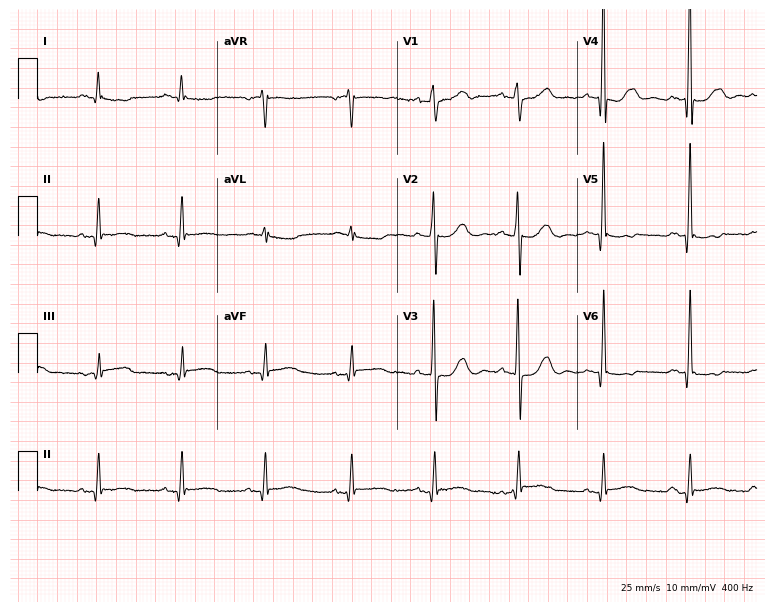
Standard 12-lead ECG recorded from a 75-year-old male patient. Read as a normal ECG.